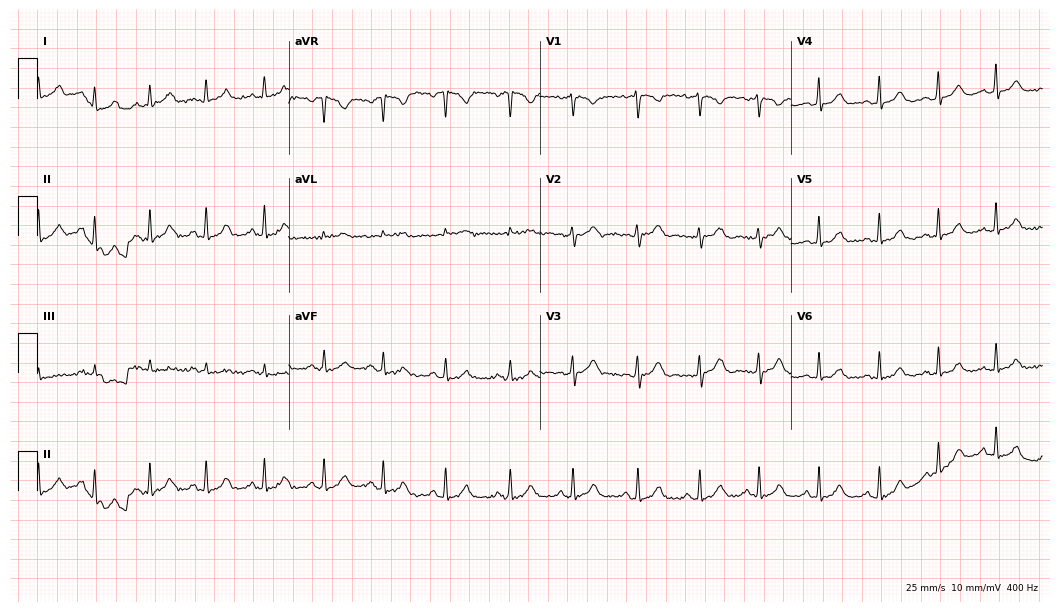
Electrocardiogram, a female, 18 years old. Overall reading on record: normal ECG.